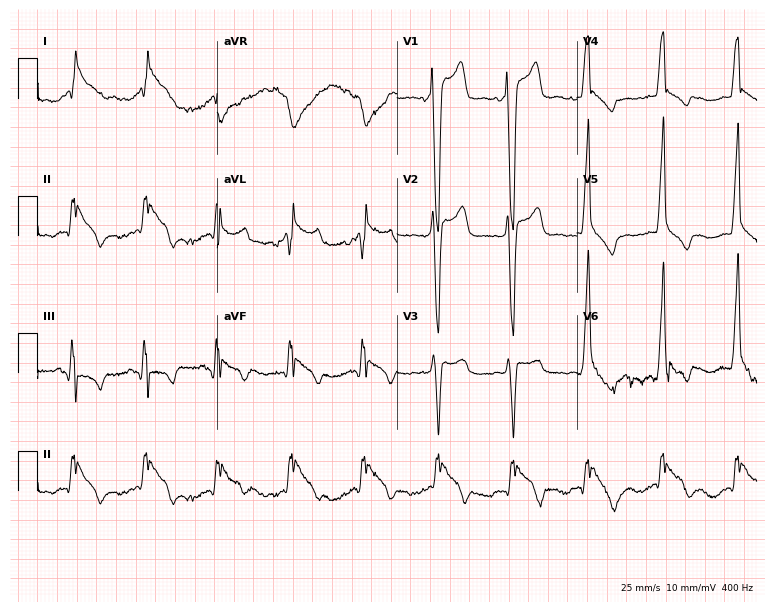
Standard 12-lead ECG recorded from a 51-year-old female (7.3-second recording at 400 Hz). None of these six findings is recorded: first-degree AV block, right bundle branch block, left bundle branch block, sinus bradycardia, atrial fibrillation, sinus tachycardia. Other findings, if any, are not listed.